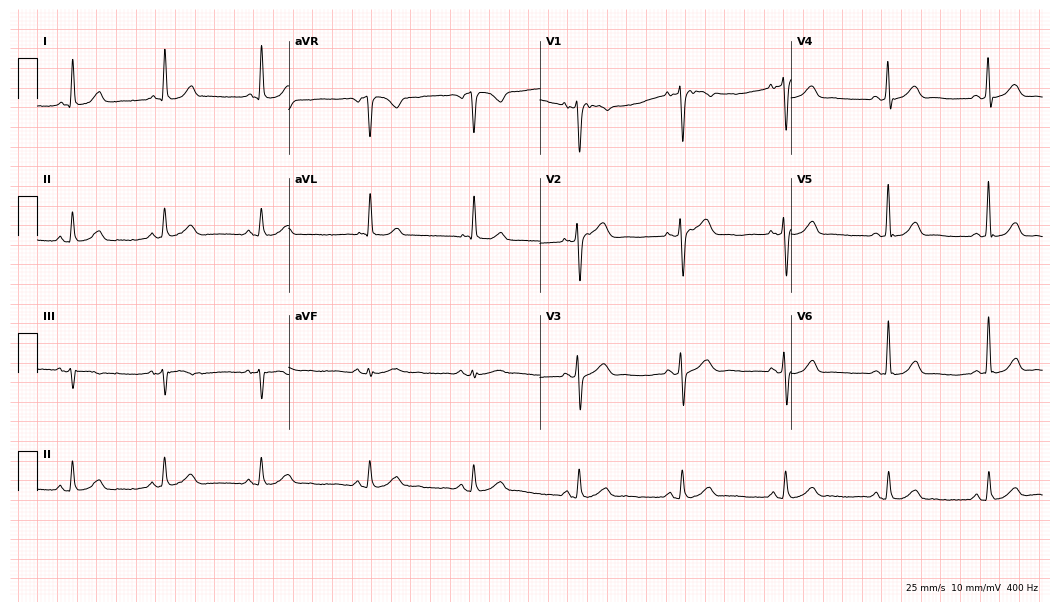
12-lead ECG from a female patient, 83 years old. Recorded interpretation: within normal limits.